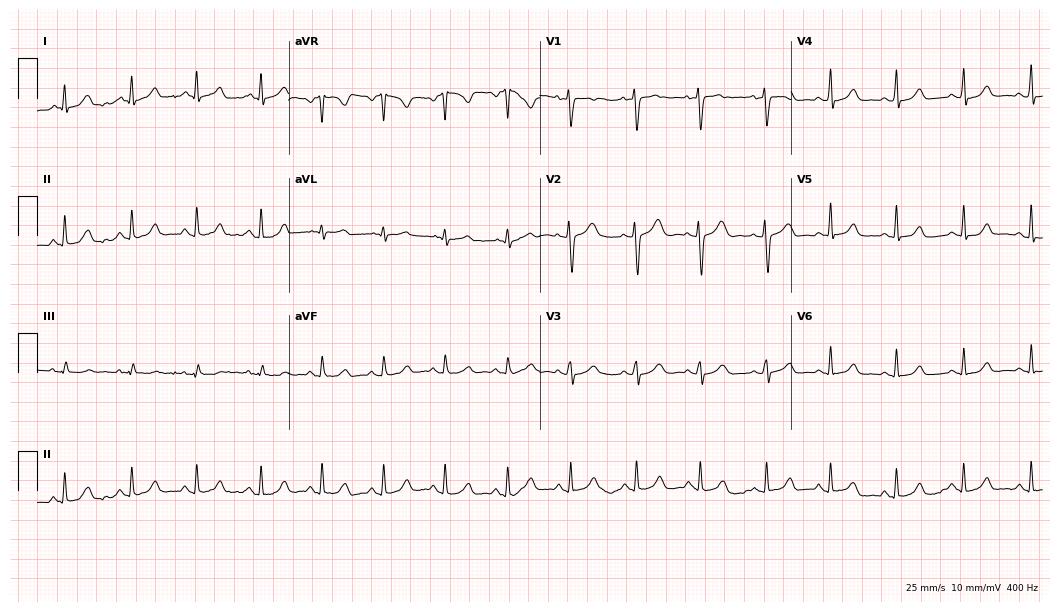
Resting 12-lead electrocardiogram (10.2-second recording at 400 Hz). Patient: a 31-year-old female. Read as a normal ECG.